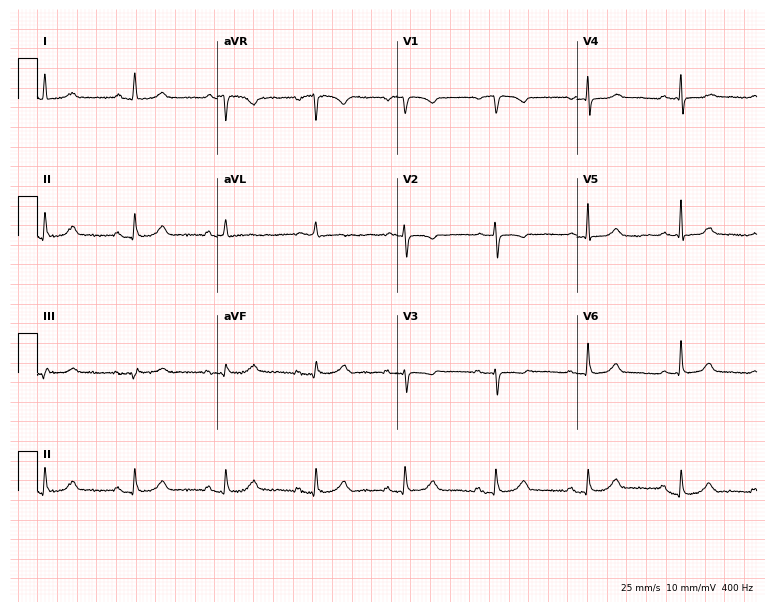
Standard 12-lead ECG recorded from a 68-year-old female patient. None of these six findings is recorded: first-degree AV block, right bundle branch block, left bundle branch block, sinus bradycardia, atrial fibrillation, sinus tachycardia. Findings outside these six are not listed.